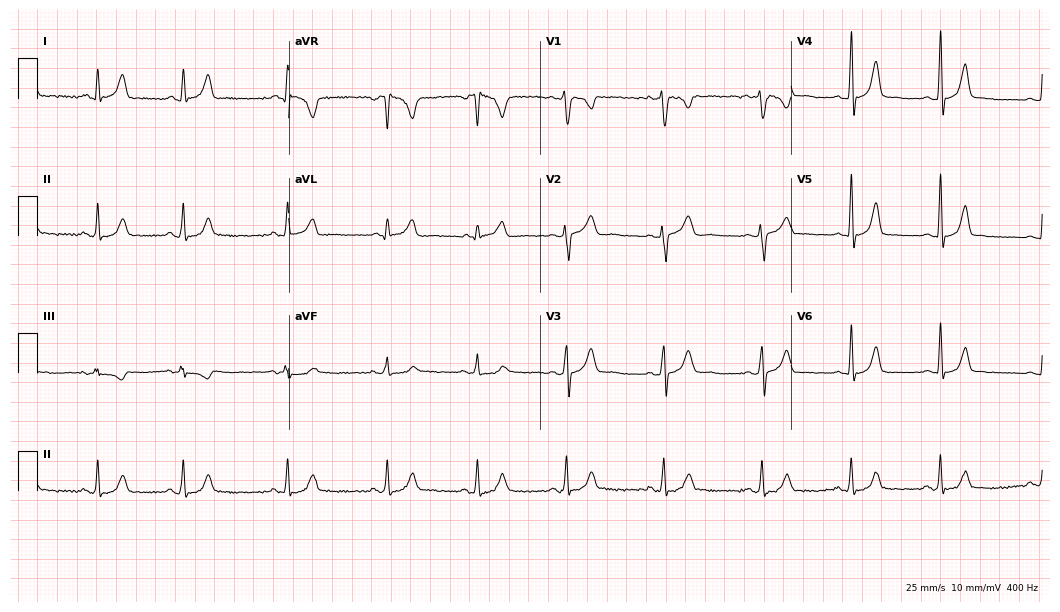
Standard 12-lead ECG recorded from a 34-year-old female patient (10.2-second recording at 400 Hz). Read as a normal ECG.